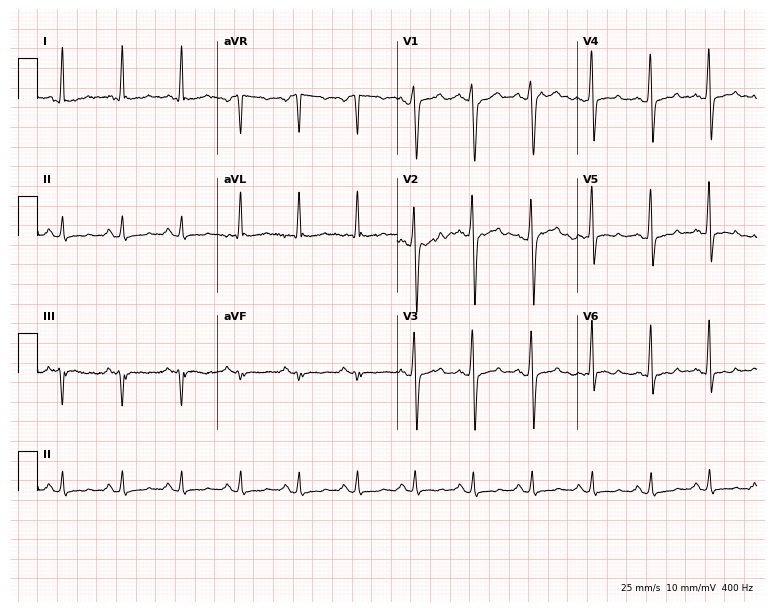
ECG (7.3-second recording at 400 Hz) — a 46-year-old male. Screened for six findings — first-degree AV block, right bundle branch block, left bundle branch block, sinus bradycardia, atrial fibrillation, sinus tachycardia — none is recorded. Findings outside these six are not listed.